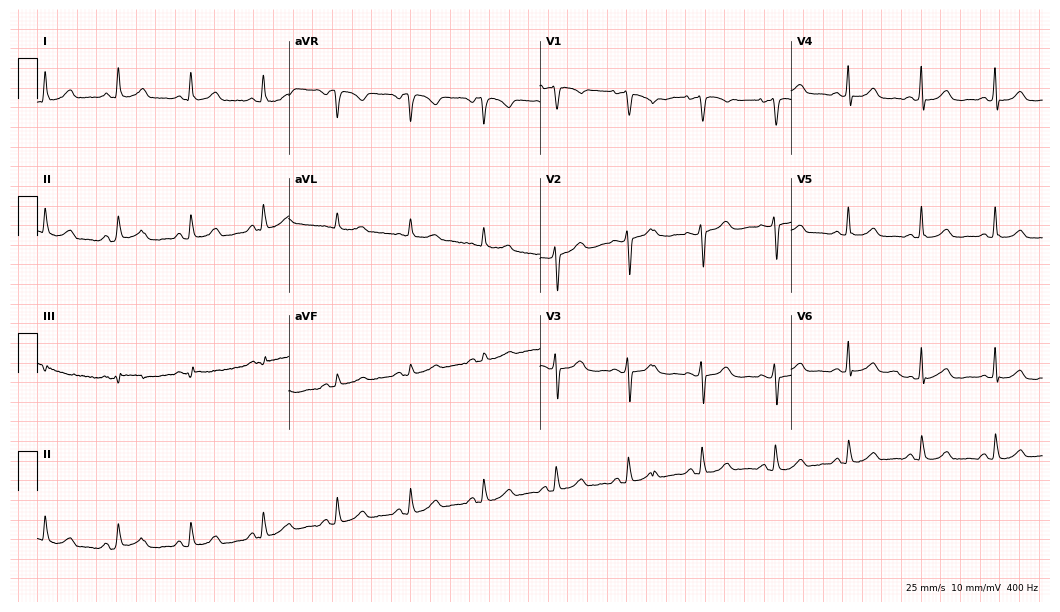
12-lead ECG (10.2-second recording at 400 Hz) from a 79-year-old female. Labelled as a normal ECG.